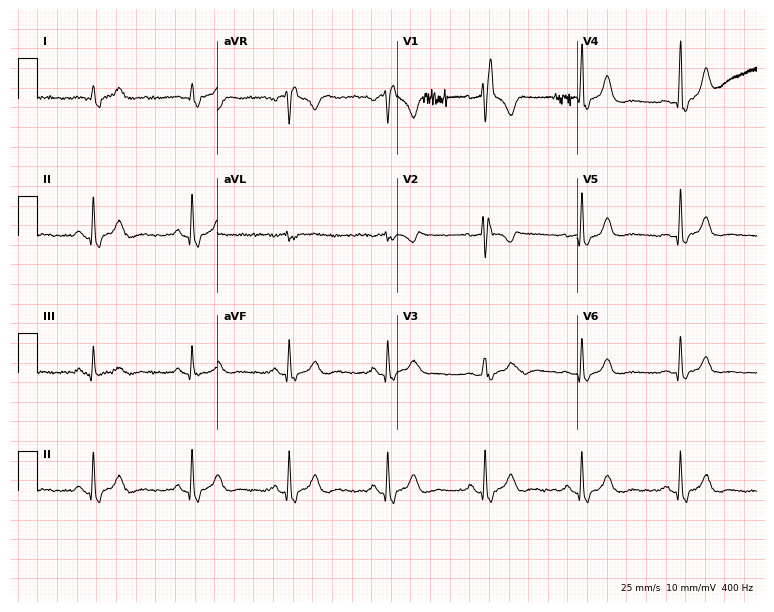
Resting 12-lead electrocardiogram (7.3-second recording at 400 Hz). Patient: a male, 55 years old. The tracing shows right bundle branch block.